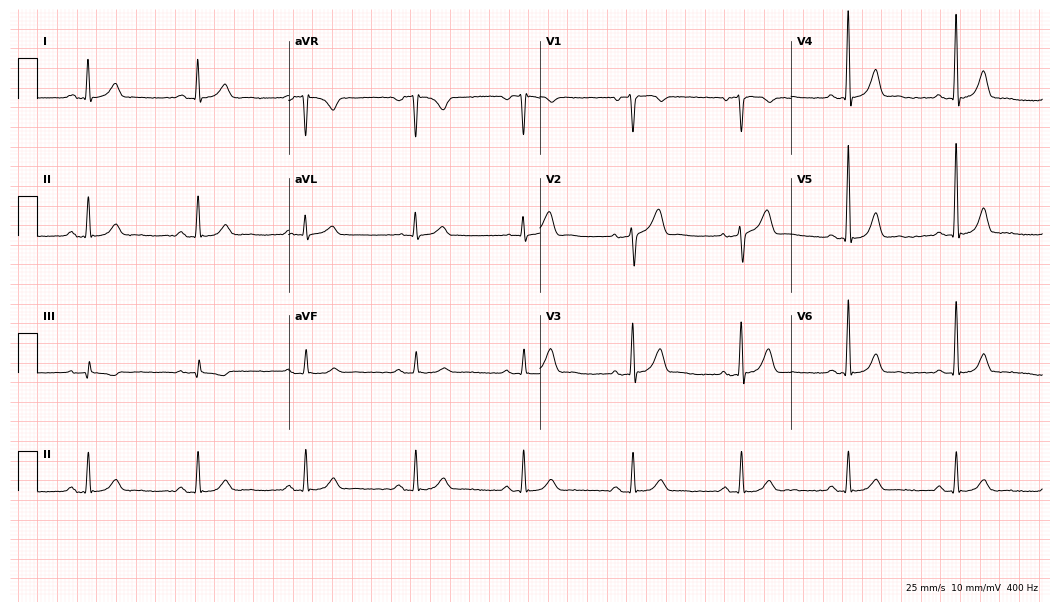
12-lead ECG from a male patient, 59 years old (10.2-second recording at 400 Hz). No first-degree AV block, right bundle branch block, left bundle branch block, sinus bradycardia, atrial fibrillation or sinus tachycardia recorded for this tracing.